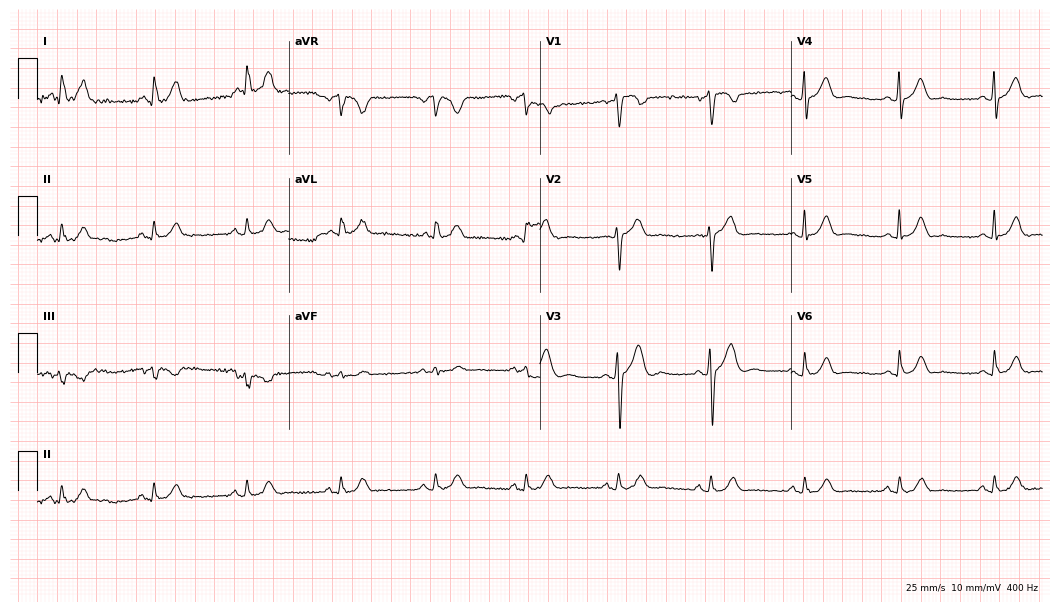
12-lead ECG from a male, 52 years old. Recorded interpretation: within normal limits.